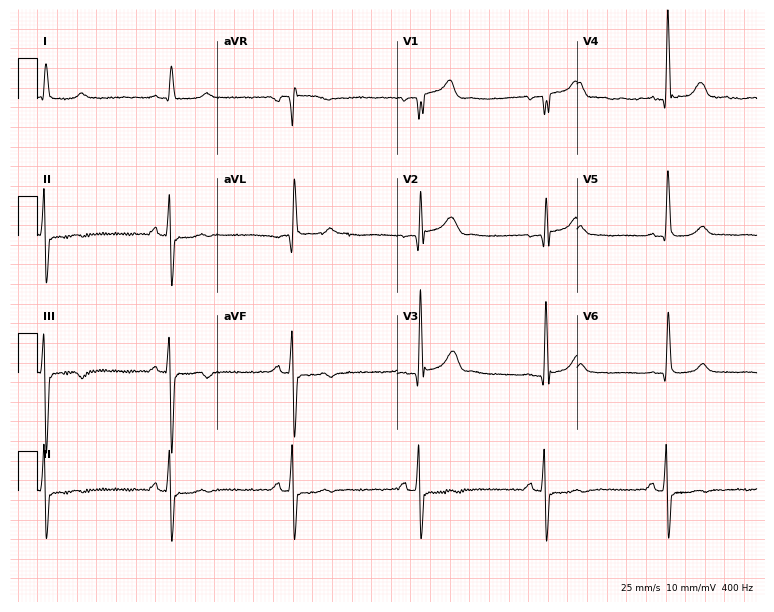
Resting 12-lead electrocardiogram (7.3-second recording at 400 Hz). Patient: a 79-year-old male. The tracing shows sinus bradycardia (a sinus rate of 50 beats per minute or less).